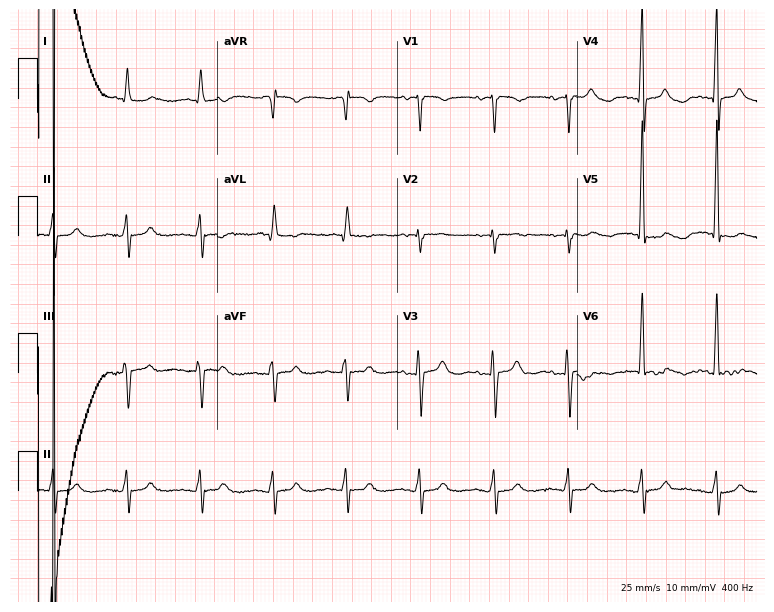
ECG (7.3-second recording at 400 Hz) — a woman, 83 years old. Screened for six findings — first-degree AV block, right bundle branch block, left bundle branch block, sinus bradycardia, atrial fibrillation, sinus tachycardia — none is recorded.